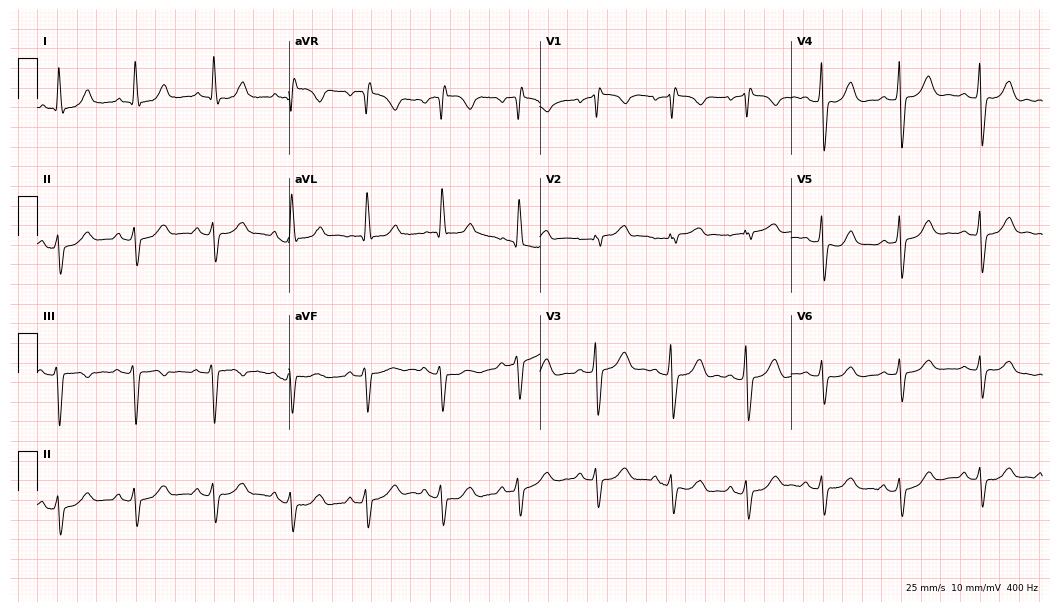
Standard 12-lead ECG recorded from a 70-year-old female patient. None of these six findings is recorded: first-degree AV block, right bundle branch block, left bundle branch block, sinus bradycardia, atrial fibrillation, sinus tachycardia. Only these six findings were labelled.